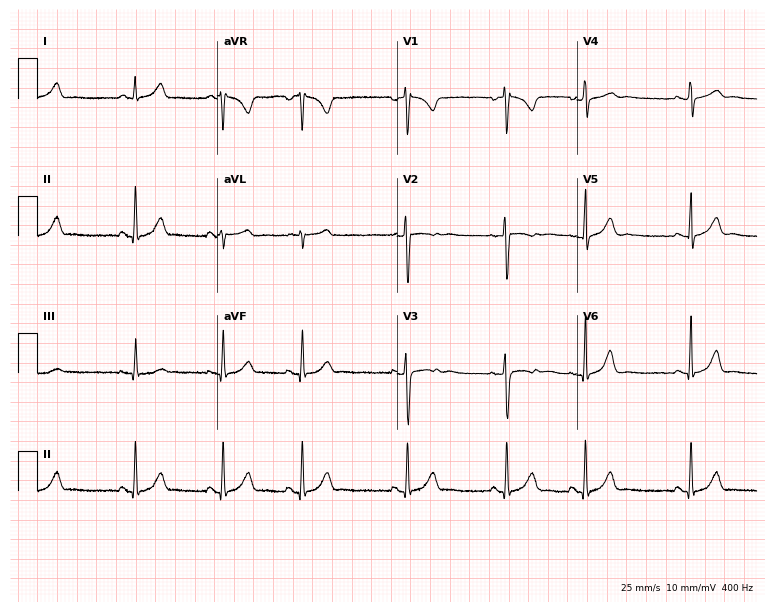
12-lead ECG from a female, 23 years old (7.3-second recording at 400 Hz). Recorded interpretation: within normal limits.